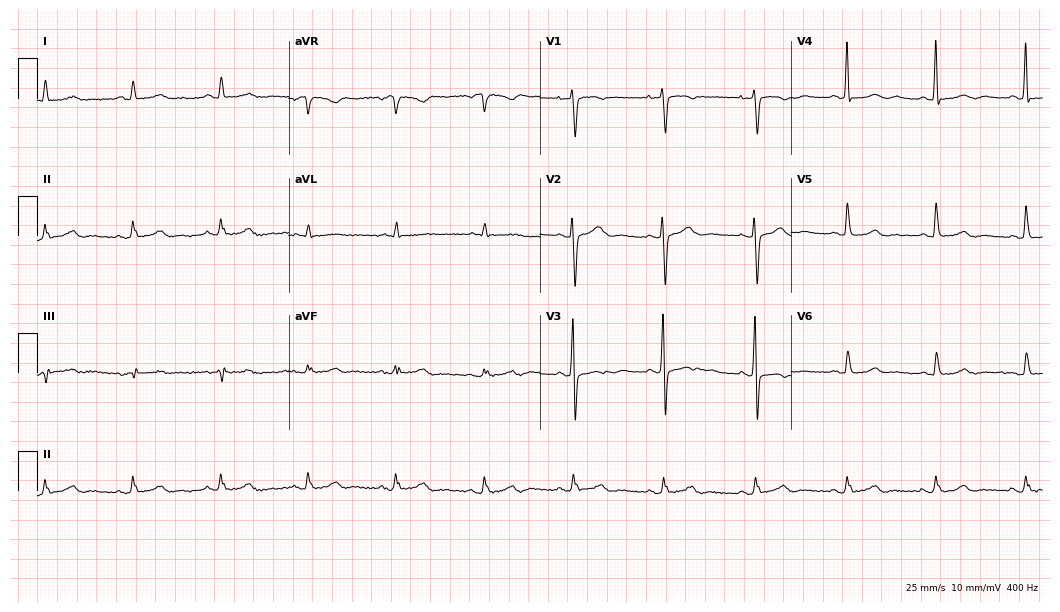
Electrocardiogram, a 55-year-old female. Overall reading on record: normal ECG.